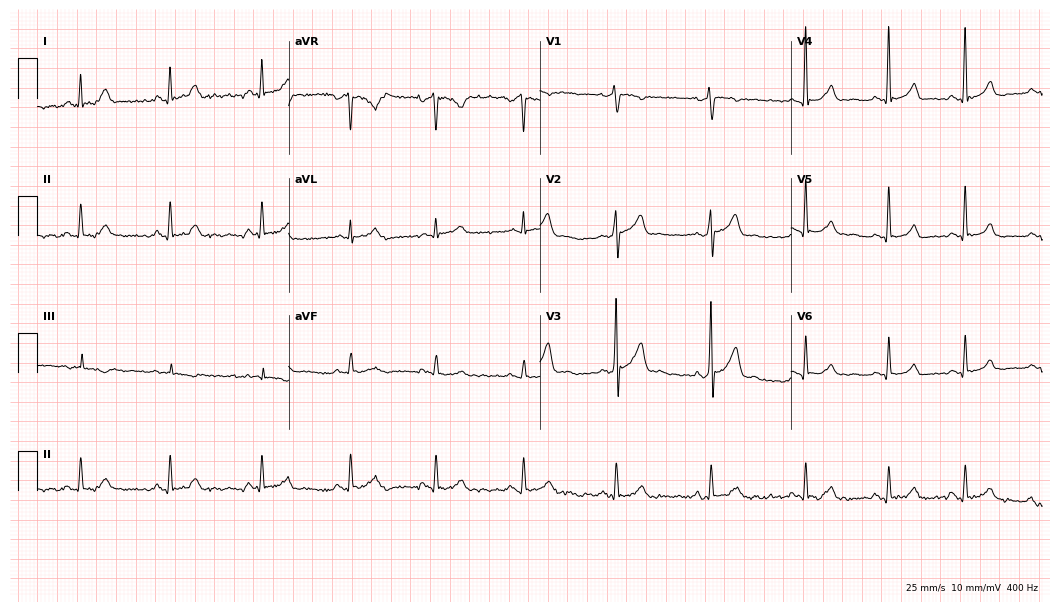
12-lead ECG from a 50-year-old man (10.2-second recording at 400 Hz). Recorded interpretation: within normal limits.